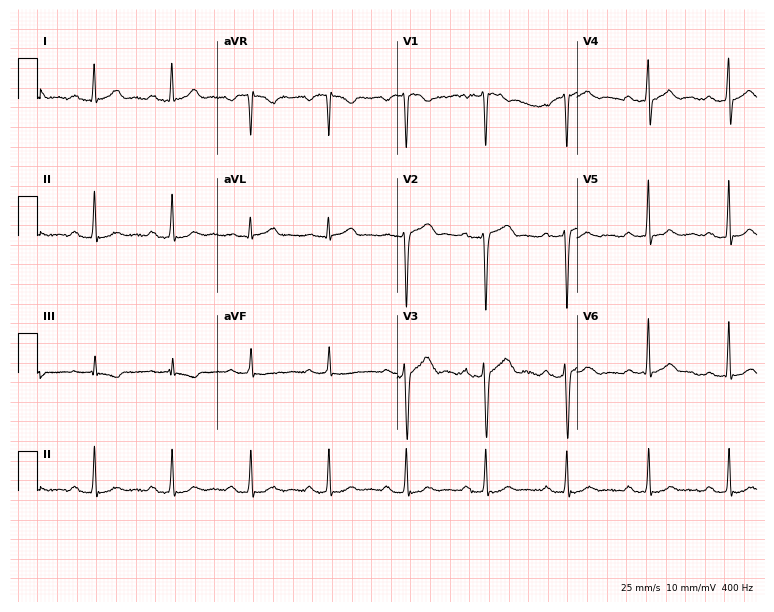
Resting 12-lead electrocardiogram. Patient: a male, 55 years old. Read as a normal ECG.